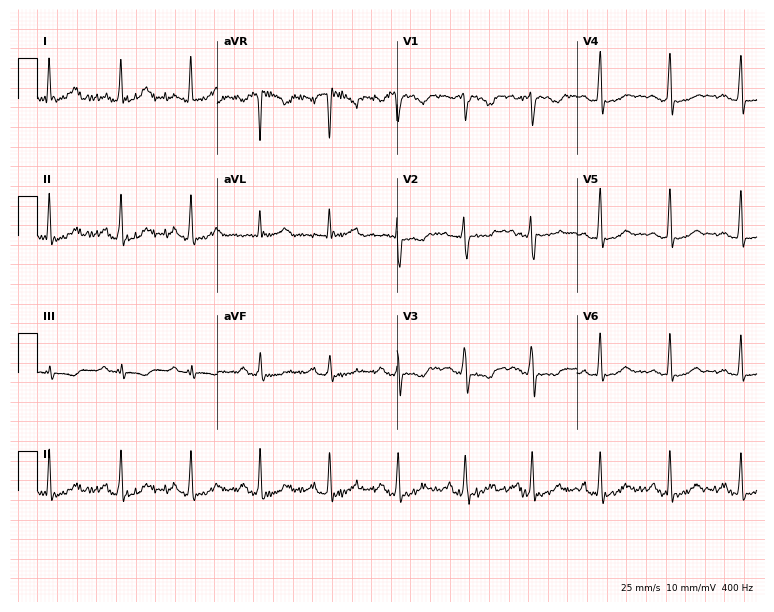
Resting 12-lead electrocardiogram. Patient: a 30-year-old woman. None of these six findings is recorded: first-degree AV block, right bundle branch block, left bundle branch block, sinus bradycardia, atrial fibrillation, sinus tachycardia. Findings outside these six are not listed.